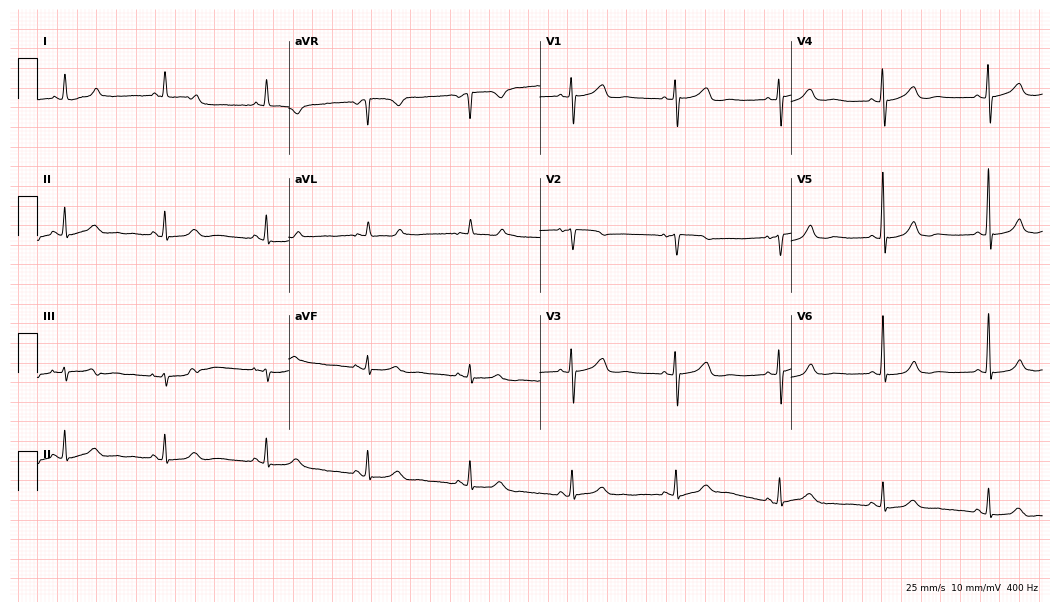
ECG — a 78-year-old female patient. Labelled as a normal ECG.